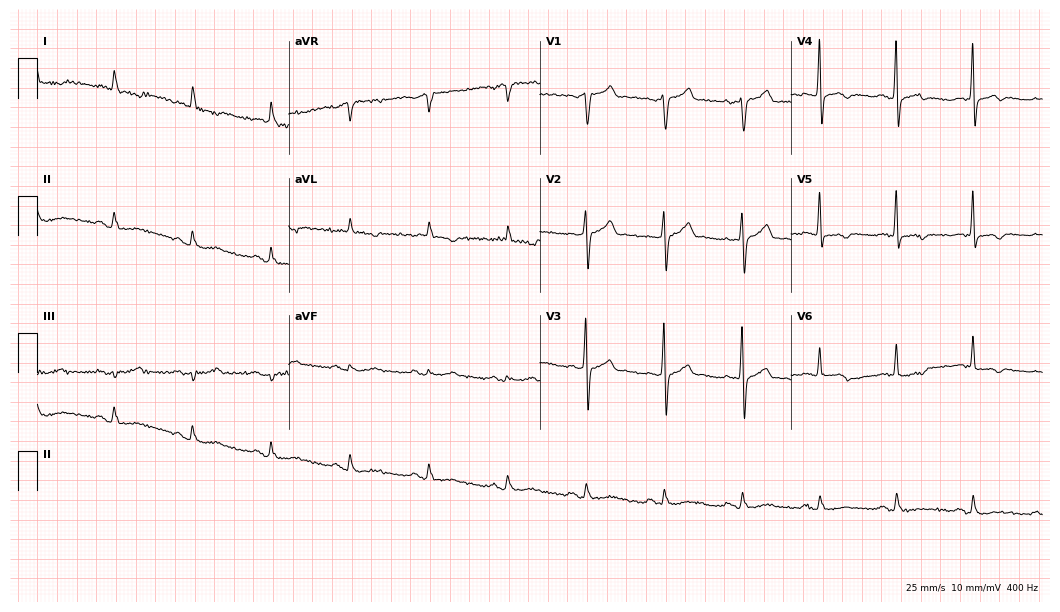
12-lead ECG from a male, 72 years old. Screened for six findings — first-degree AV block, right bundle branch block, left bundle branch block, sinus bradycardia, atrial fibrillation, sinus tachycardia — none is recorded. Findings outside these six are not listed.